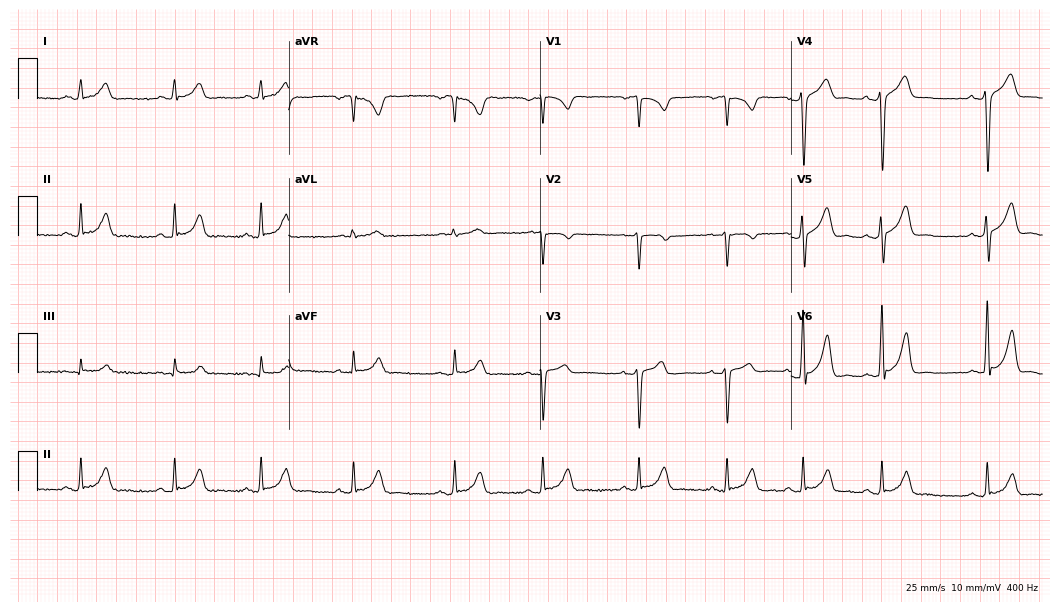
12-lead ECG from a 24-year-old male patient. No first-degree AV block, right bundle branch block, left bundle branch block, sinus bradycardia, atrial fibrillation or sinus tachycardia recorded for this tracing.